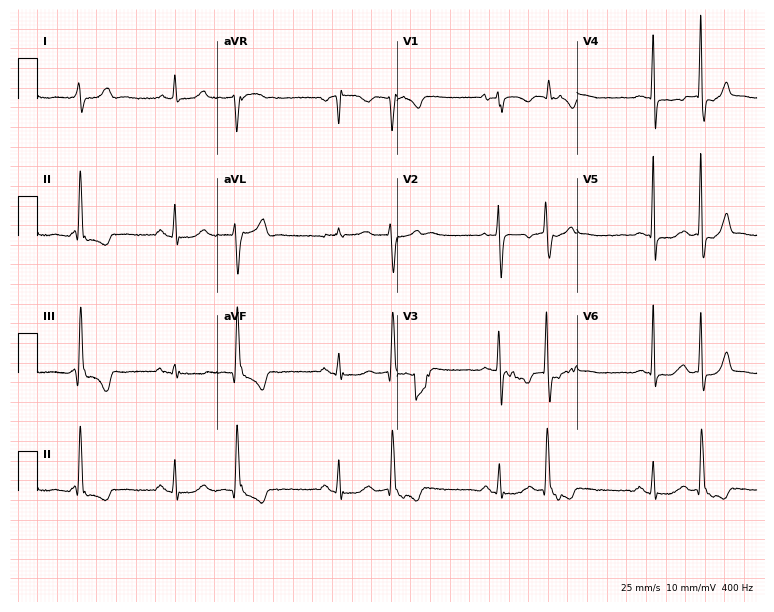
Standard 12-lead ECG recorded from a woman, 74 years old (7.3-second recording at 400 Hz). None of these six findings is recorded: first-degree AV block, right bundle branch block, left bundle branch block, sinus bradycardia, atrial fibrillation, sinus tachycardia.